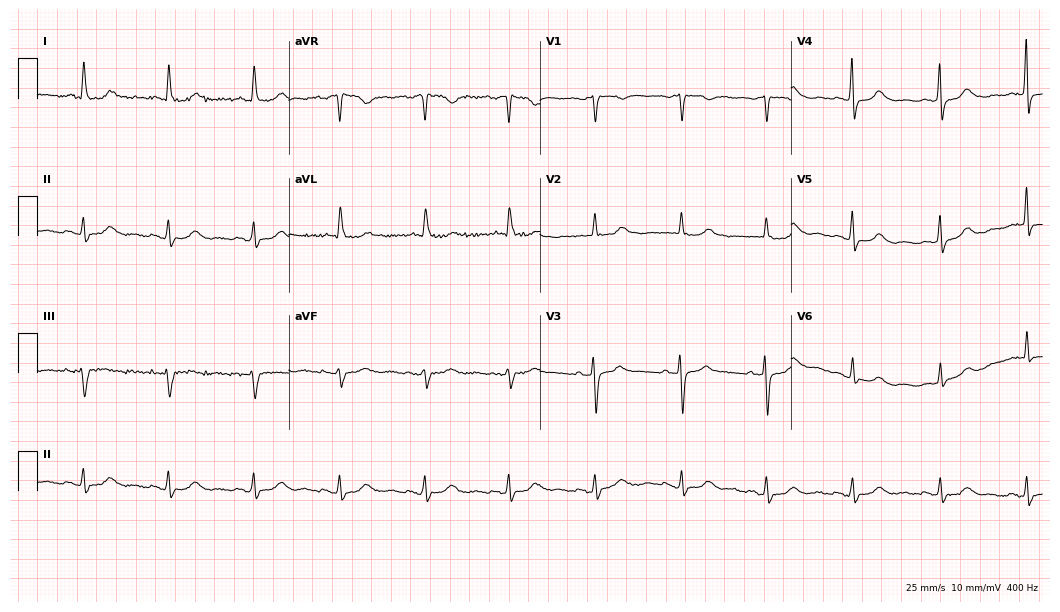
ECG — a female, 85 years old. Labelled as a normal ECG.